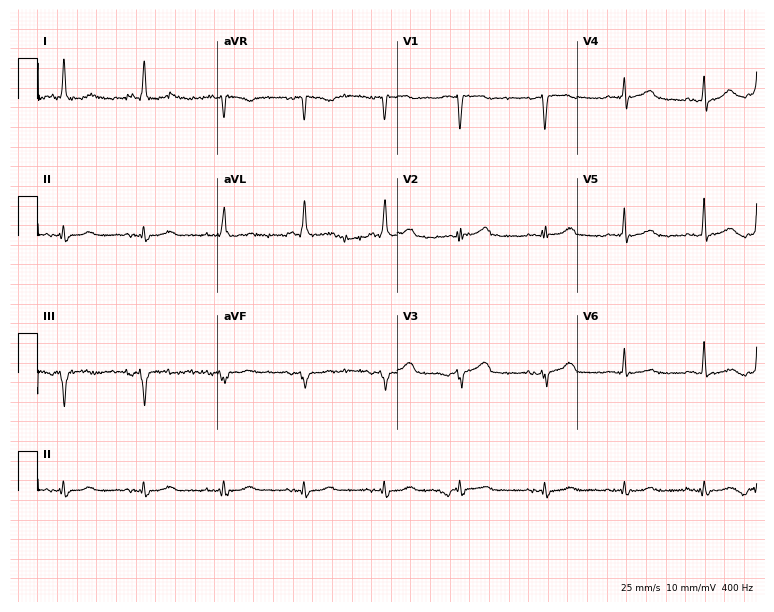
Standard 12-lead ECG recorded from a male, 73 years old (7.3-second recording at 400 Hz). Read as a normal ECG.